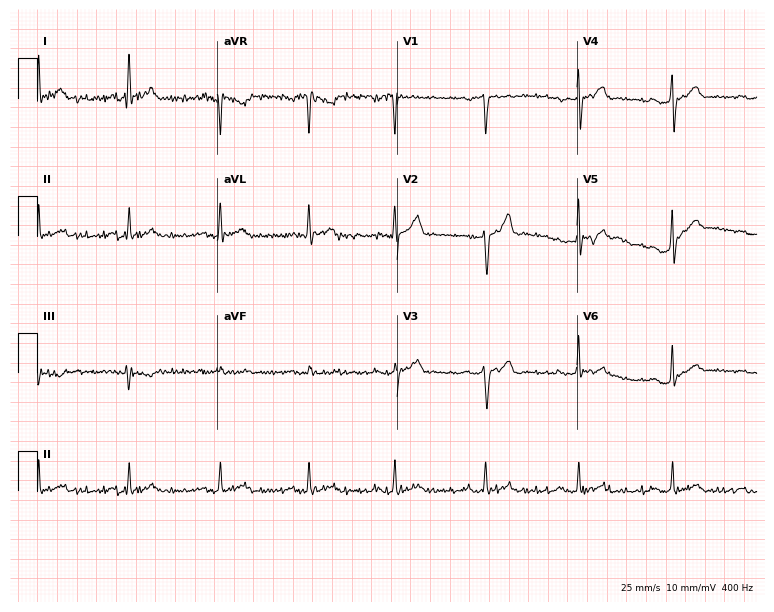
Standard 12-lead ECG recorded from a man, 39 years old (7.3-second recording at 400 Hz). None of these six findings is recorded: first-degree AV block, right bundle branch block, left bundle branch block, sinus bradycardia, atrial fibrillation, sinus tachycardia. Findings outside these six are not listed.